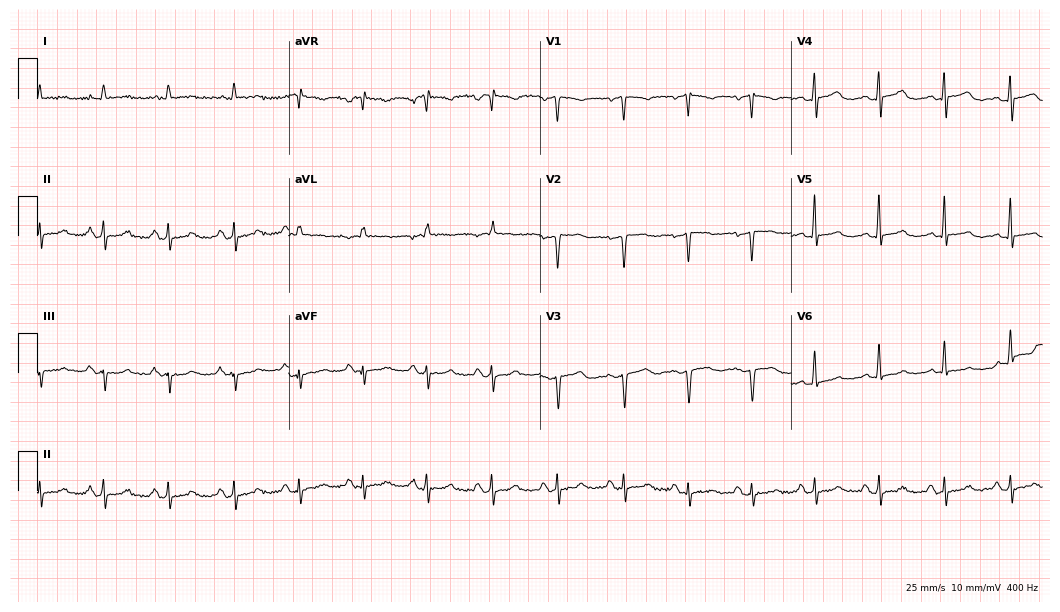
12-lead ECG from a 74-year-old woman (10.2-second recording at 400 Hz). No first-degree AV block, right bundle branch block (RBBB), left bundle branch block (LBBB), sinus bradycardia, atrial fibrillation (AF) or sinus tachycardia recorded for this tracing.